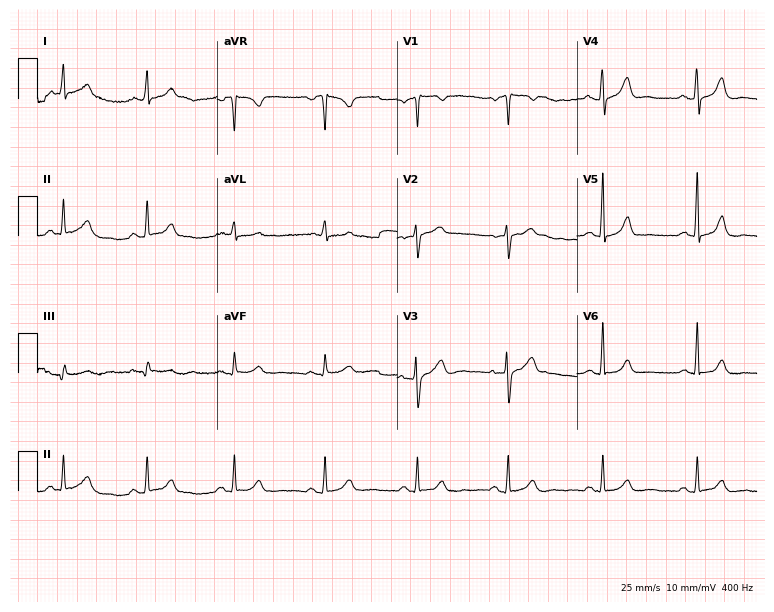
ECG (7.3-second recording at 400 Hz) — a 60-year-old female. Labelled as a normal ECG.